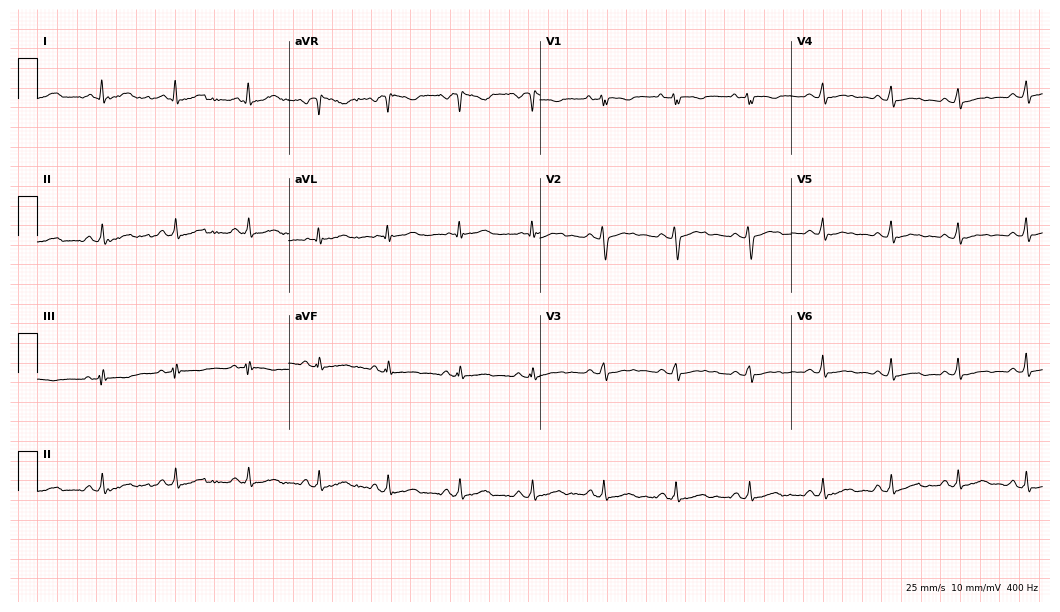
12-lead ECG from a female, 21 years old. Labelled as a normal ECG.